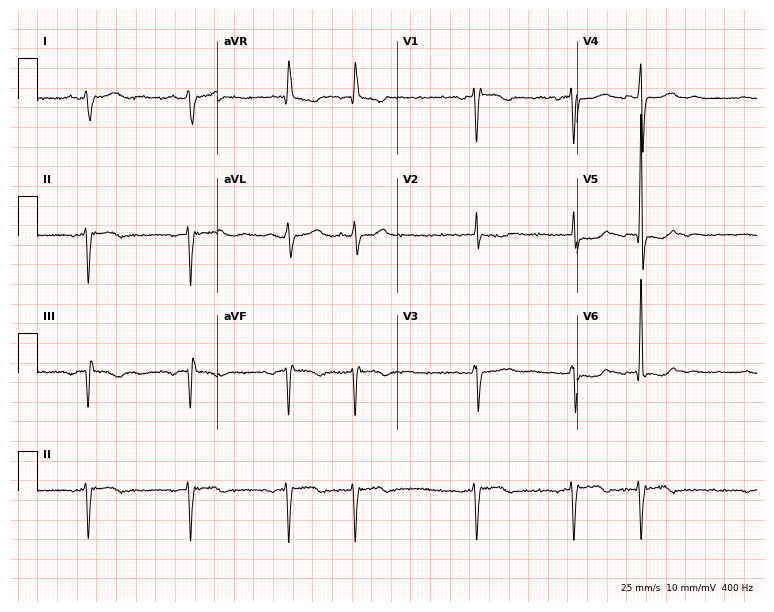
12-lead ECG from a woman, 54 years old. No first-degree AV block, right bundle branch block, left bundle branch block, sinus bradycardia, atrial fibrillation or sinus tachycardia recorded for this tracing.